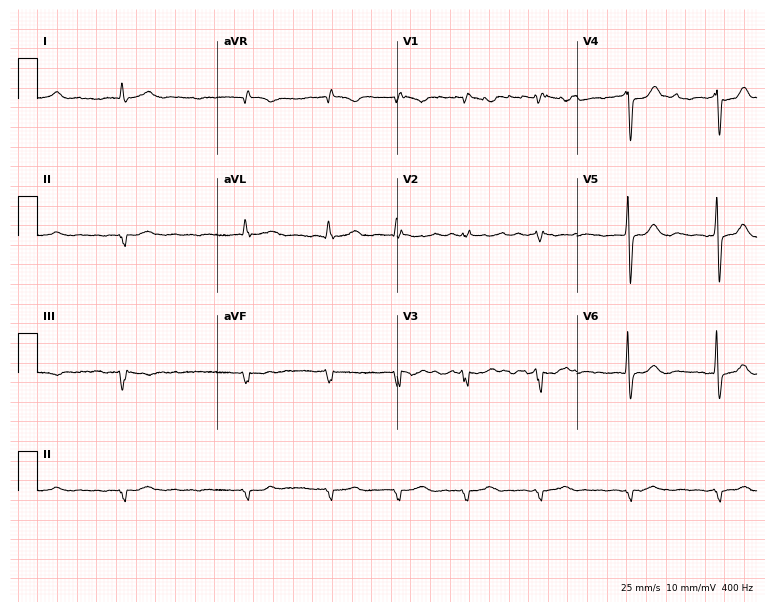
12-lead ECG from a male, 77 years old. Findings include atrial fibrillation (AF).